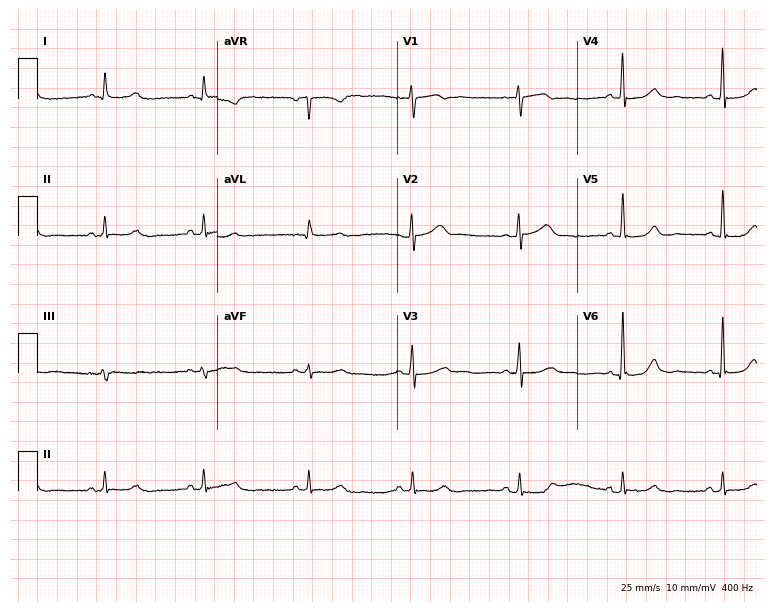
12-lead ECG from a 60-year-old female patient (7.3-second recording at 400 Hz). Recorded interpretation: within normal limits.